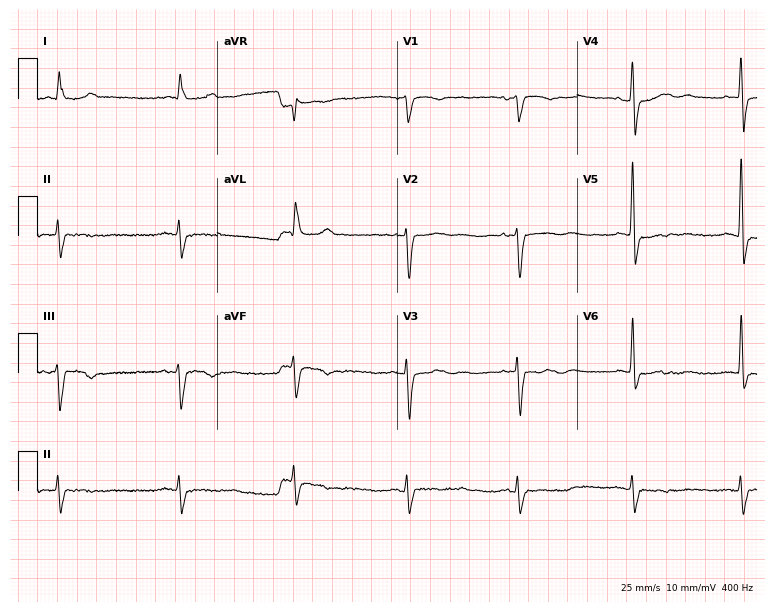
Resting 12-lead electrocardiogram (7.3-second recording at 400 Hz). Patient: an 86-year-old male. None of these six findings is recorded: first-degree AV block, right bundle branch block, left bundle branch block, sinus bradycardia, atrial fibrillation, sinus tachycardia. Other findings, if any, are not listed.